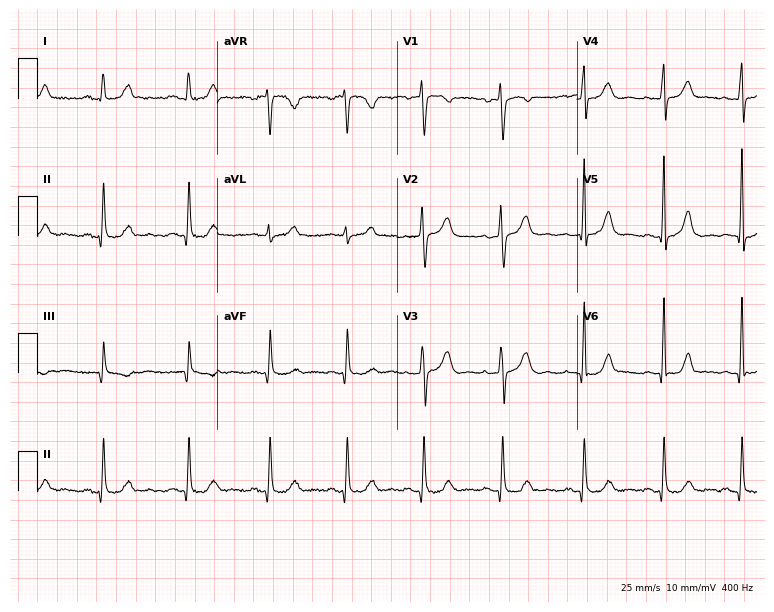
Standard 12-lead ECG recorded from a 38-year-old female patient (7.3-second recording at 400 Hz). None of these six findings is recorded: first-degree AV block, right bundle branch block, left bundle branch block, sinus bradycardia, atrial fibrillation, sinus tachycardia.